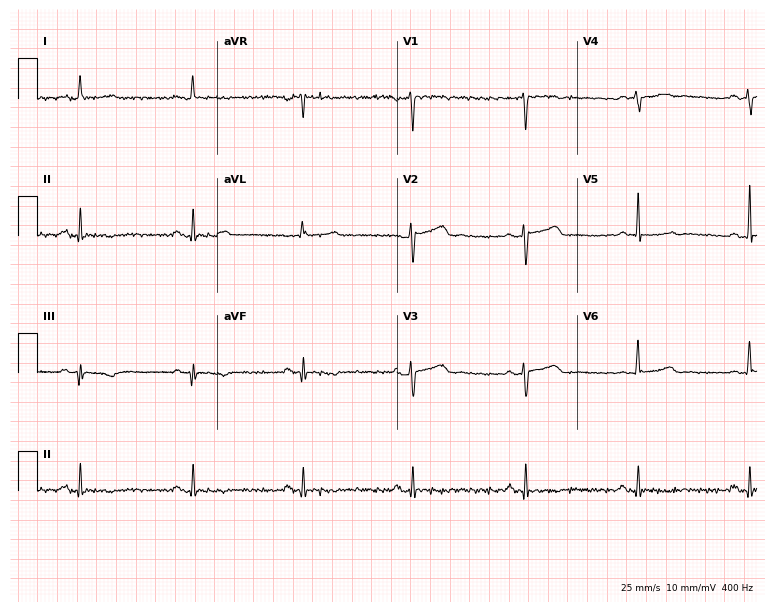
Electrocardiogram (7.3-second recording at 400 Hz), a female, 35 years old. Overall reading on record: normal ECG.